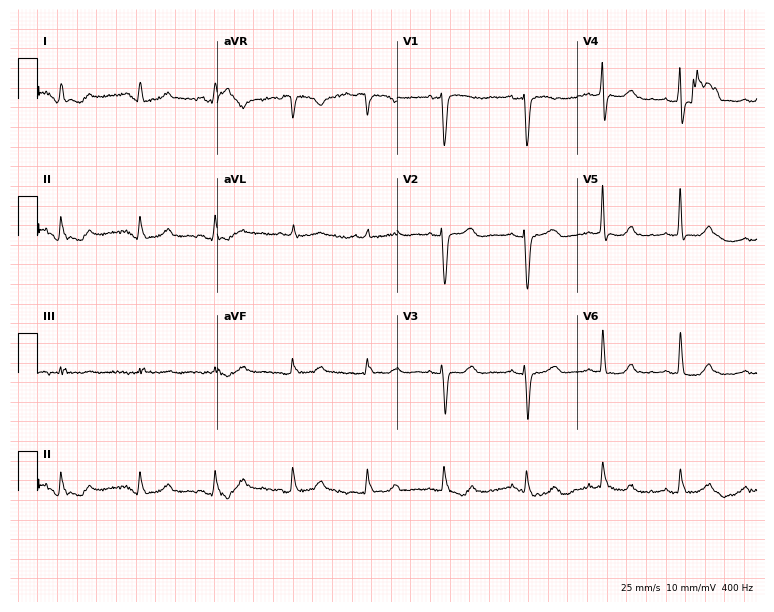
Standard 12-lead ECG recorded from a 65-year-old female. None of these six findings is recorded: first-degree AV block, right bundle branch block (RBBB), left bundle branch block (LBBB), sinus bradycardia, atrial fibrillation (AF), sinus tachycardia. Findings outside these six are not listed.